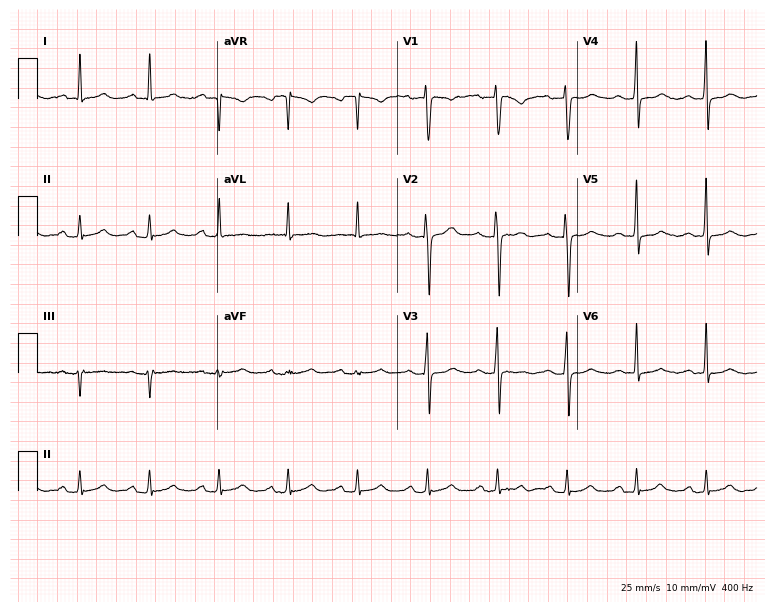
Electrocardiogram (7.3-second recording at 400 Hz), a 54-year-old man. Of the six screened findings (first-degree AV block, right bundle branch block (RBBB), left bundle branch block (LBBB), sinus bradycardia, atrial fibrillation (AF), sinus tachycardia), none is recorded. Findings outside these six are not listed.